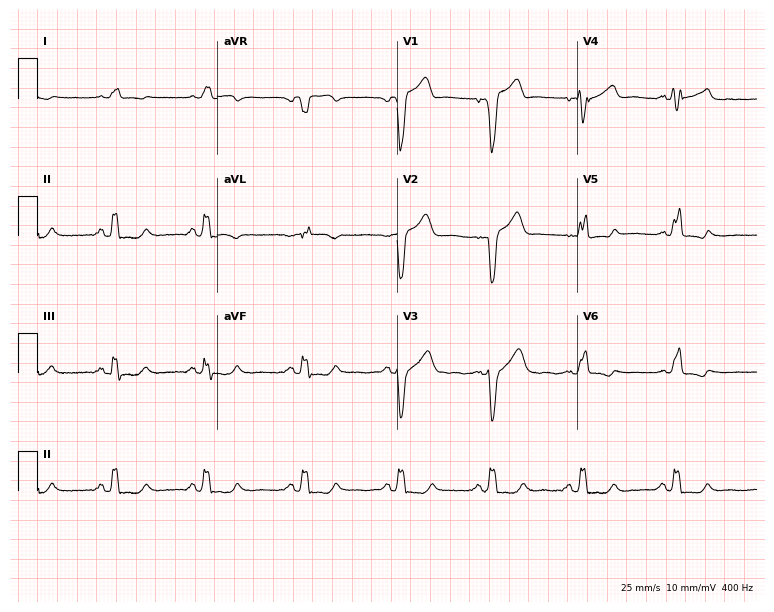
Standard 12-lead ECG recorded from a 59-year-old male patient (7.3-second recording at 400 Hz). The tracing shows left bundle branch block (LBBB).